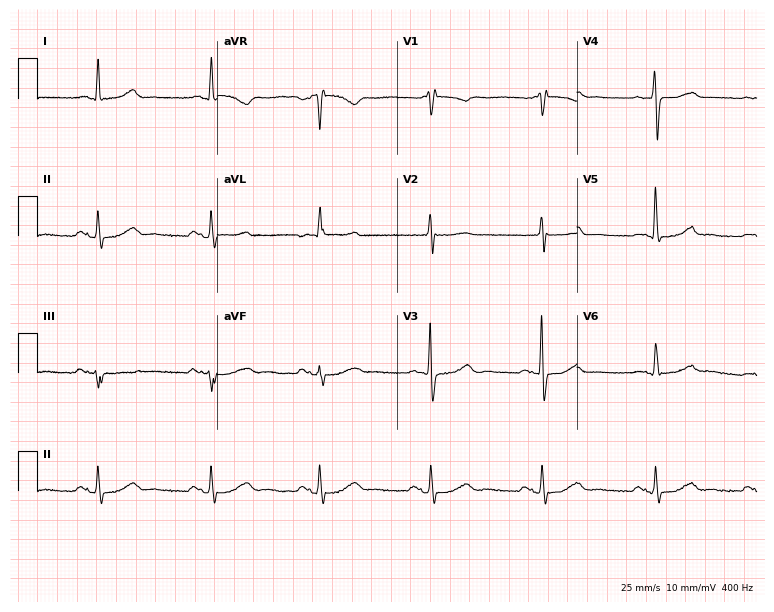
Resting 12-lead electrocardiogram. Patient: a 71-year-old female. Read as a normal ECG.